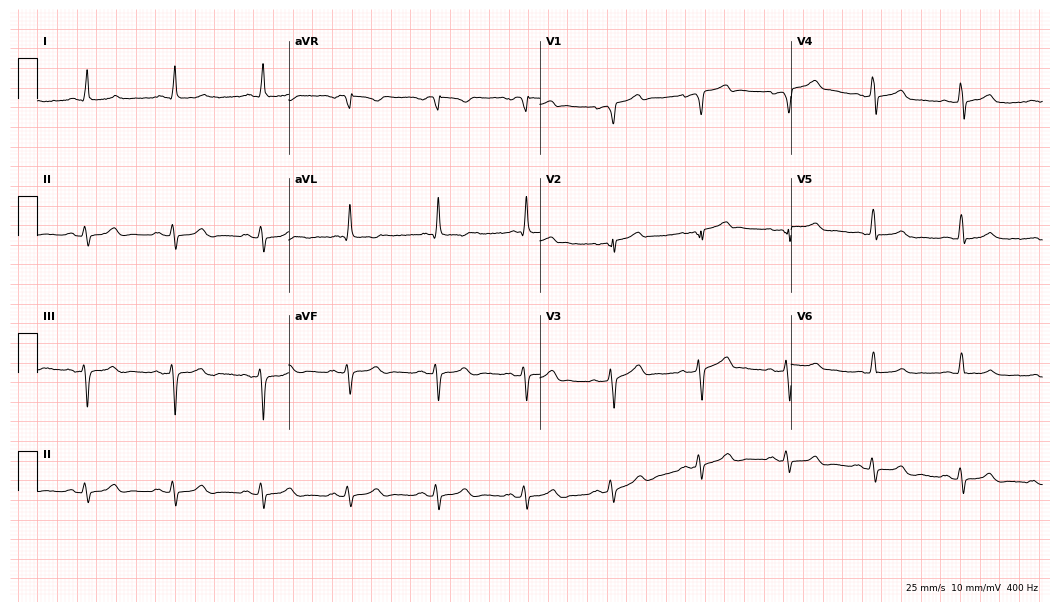
12-lead ECG from a 66-year-old male. No first-degree AV block, right bundle branch block (RBBB), left bundle branch block (LBBB), sinus bradycardia, atrial fibrillation (AF) or sinus tachycardia recorded for this tracing.